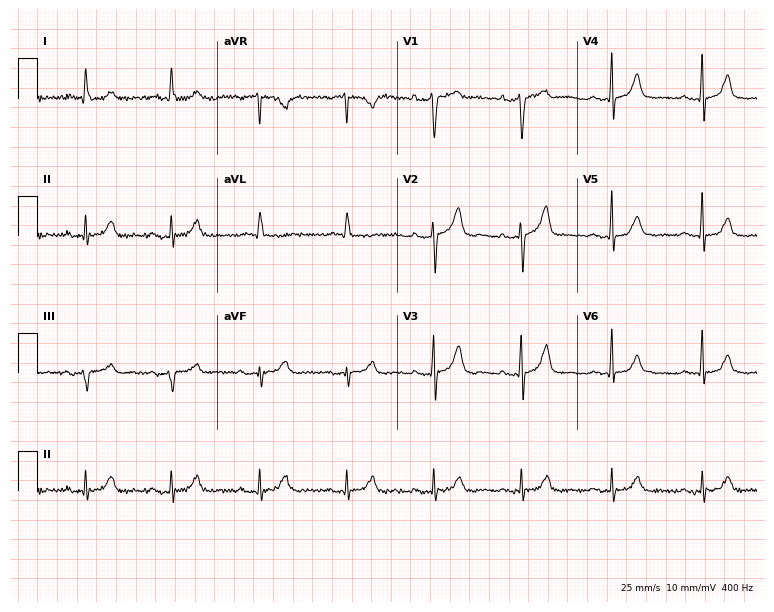
12-lead ECG from a 74-year-old man. Labelled as a normal ECG.